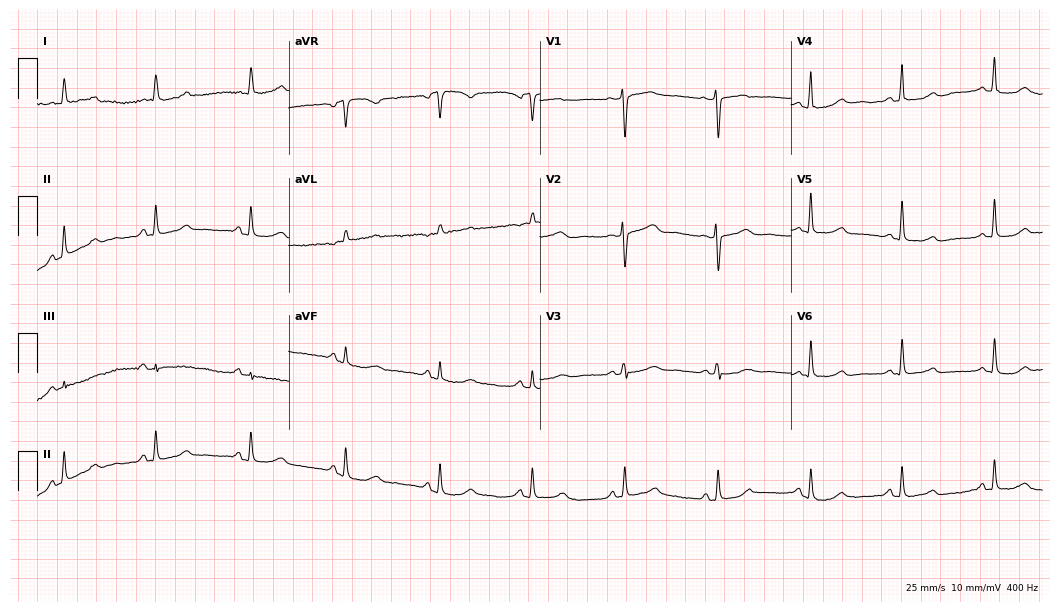
Resting 12-lead electrocardiogram (10.2-second recording at 400 Hz). Patient: a 64-year-old female. Read as a normal ECG.